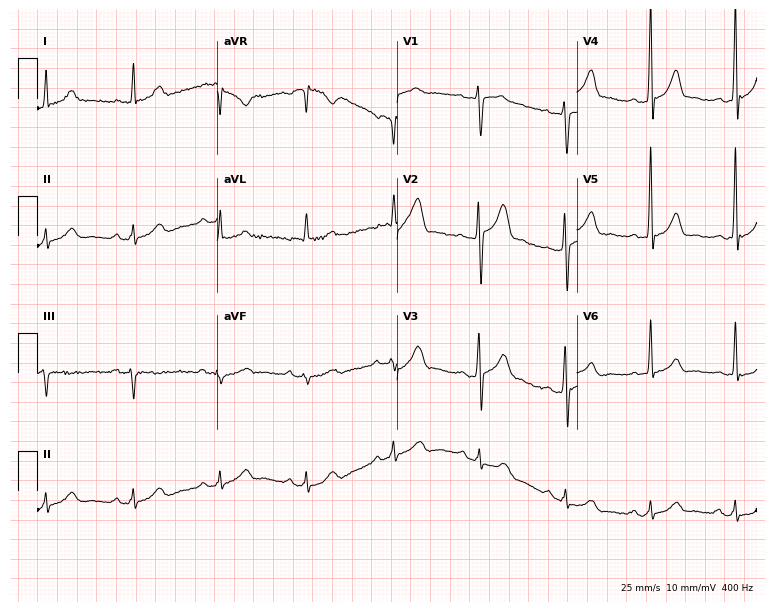
ECG — a male patient, 45 years old. Screened for six findings — first-degree AV block, right bundle branch block (RBBB), left bundle branch block (LBBB), sinus bradycardia, atrial fibrillation (AF), sinus tachycardia — none is recorded.